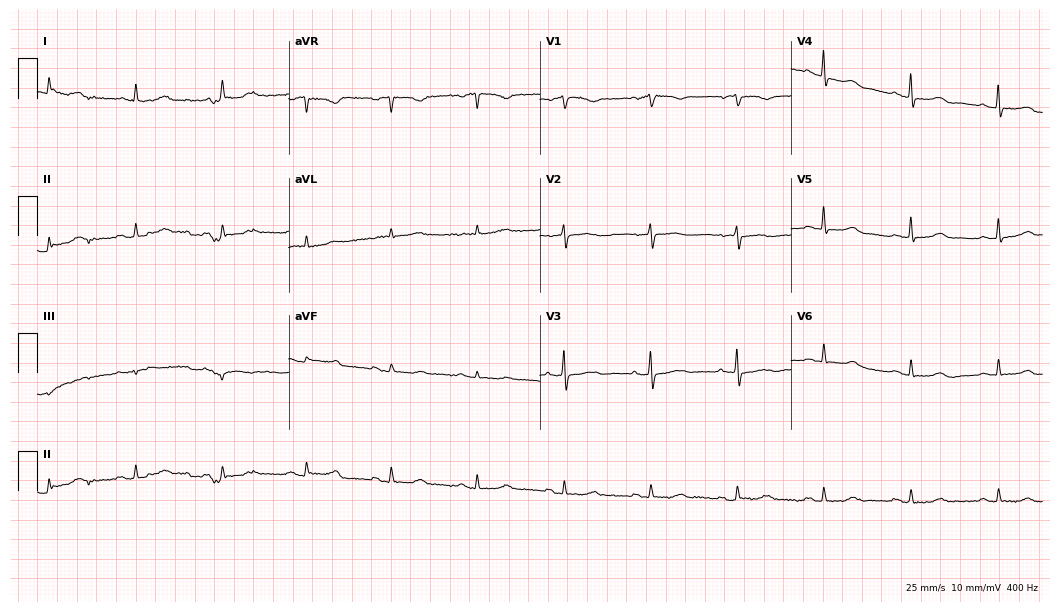
Resting 12-lead electrocardiogram. Patient: a female, 38 years old. None of these six findings is recorded: first-degree AV block, right bundle branch block, left bundle branch block, sinus bradycardia, atrial fibrillation, sinus tachycardia.